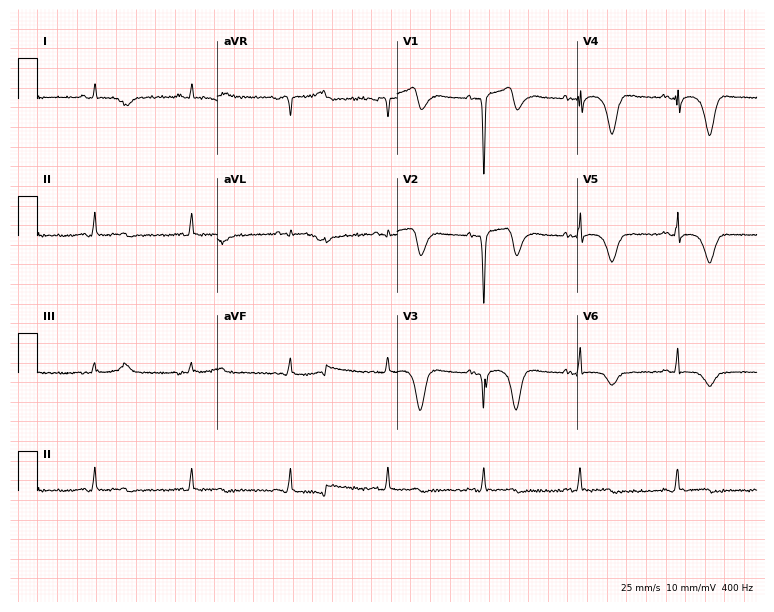
12-lead ECG from a male patient, 63 years old (7.3-second recording at 400 Hz). No first-degree AV block, right bundle branch block, left bundle branch block, sinus bradycardia, atrial fibrillation or sinus tachycardia recorded for this tracing. Only these six findings were labelled.